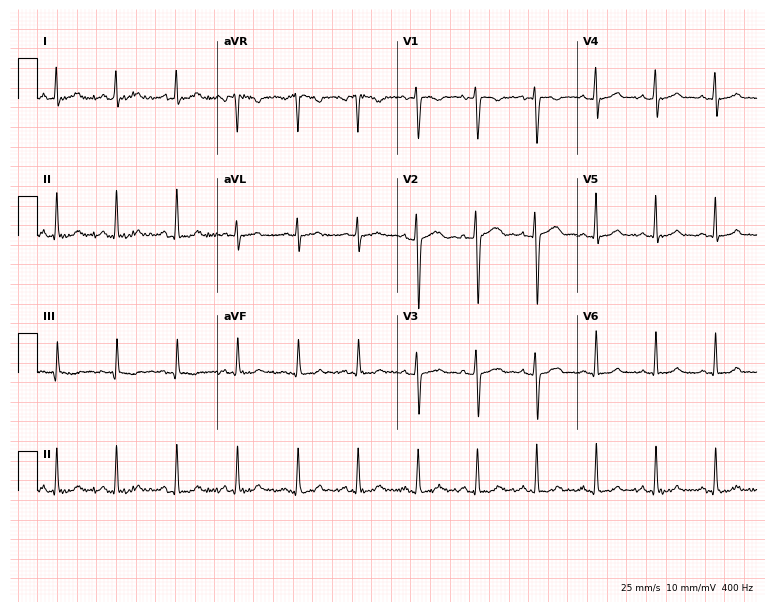
12-lead ECG from a 31-year-old female patient. Labelled as a normal ECG.